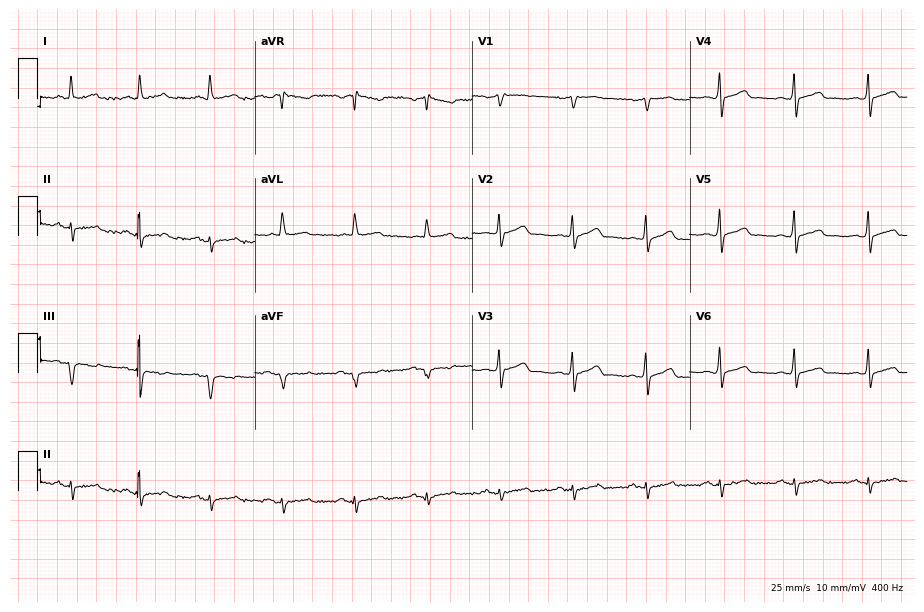
ECG — a man, 49 years old. Labelled as a normal ECG.